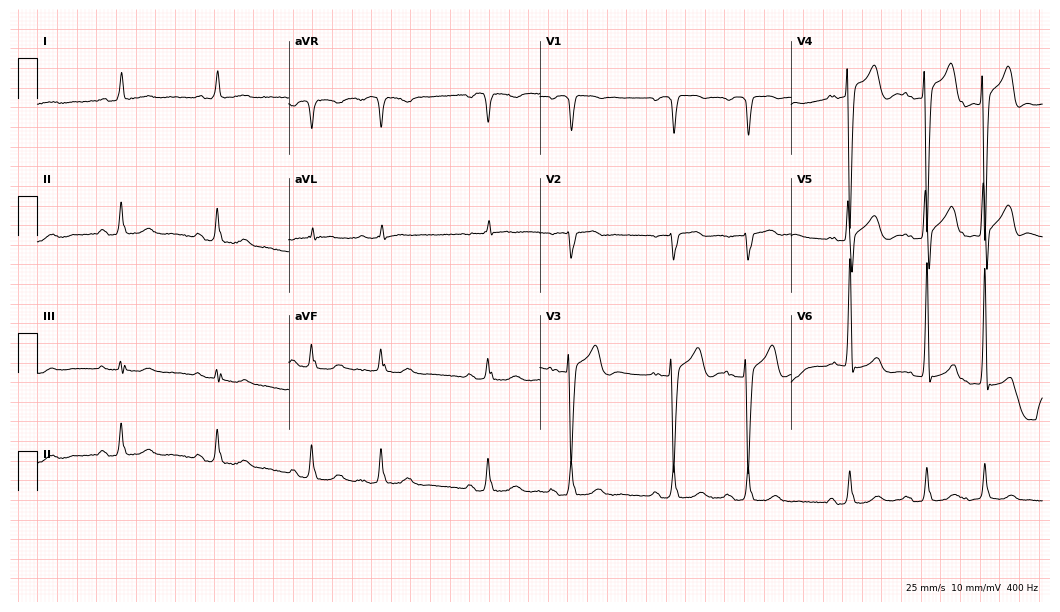
12-lead ECG from a male, 82 years old. No first-degree AV block, right bundle branch block, left bundle branch block, sinus bradycardia, atrial fibrillation or sinus tachycardia recorded for this tracing.